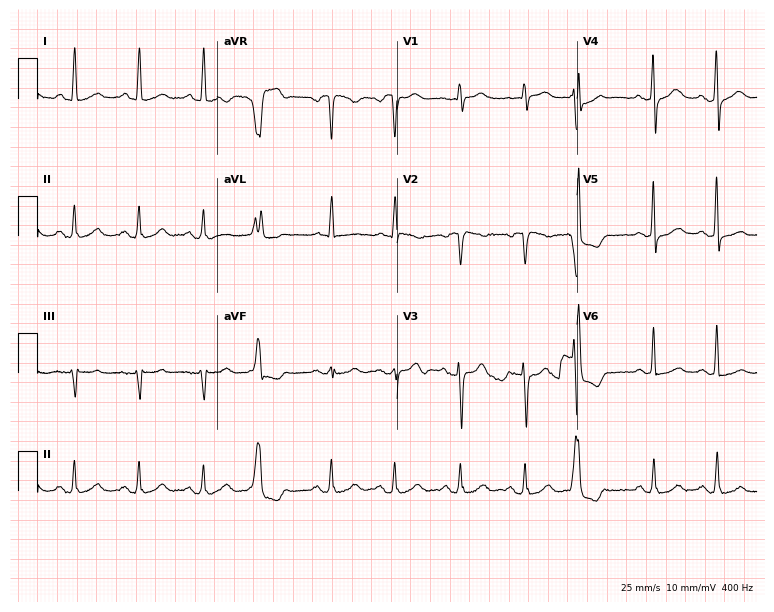
Standard 12-lead ECG recorded from a woman, 69 years old (7.3-second recording at 400 Hz). None of these six findings is recorded: first-degree AV block, right bundle branch block, left bundle branch block, sinus bradycardia, atrial fibrillation, sinus tachycardia.